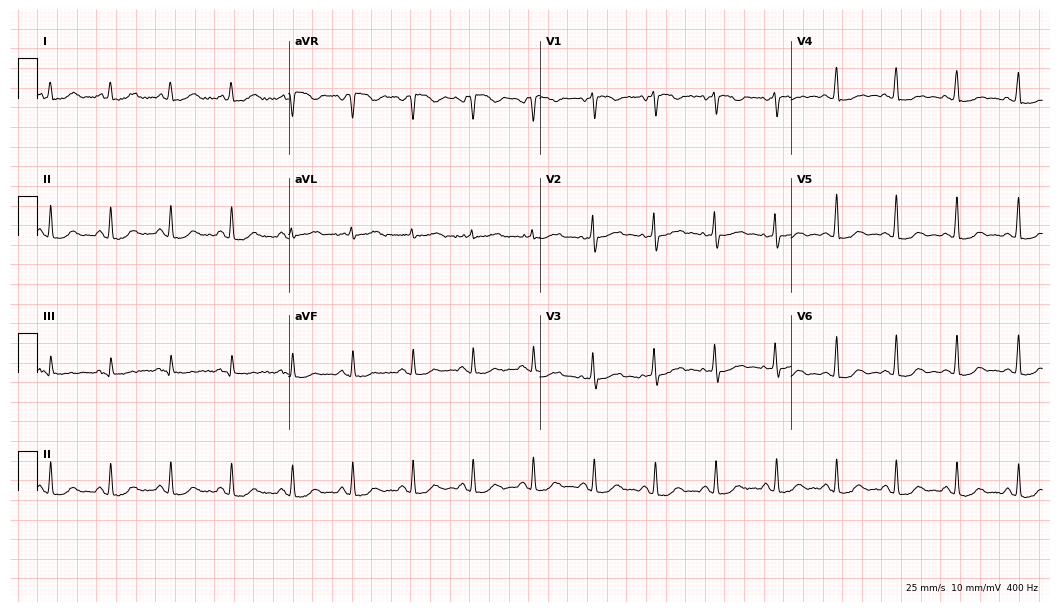
ECG (10.2-second recording at 400 Hz) — a male, 33 years old. Screened for six findings — first-degree AV block, right bundle branch block, left bundle branch block, sinus bradycardia, atrial fibrillation, sinus tachycardia — none is recorded.